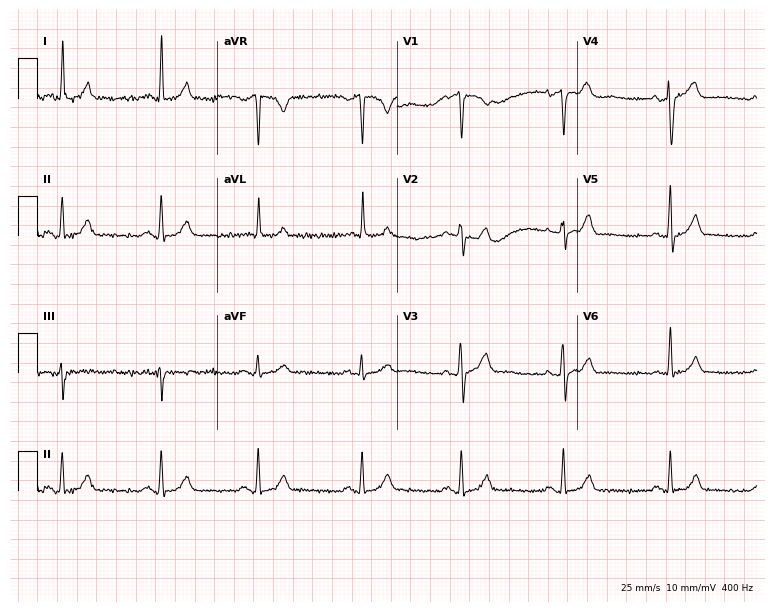
12-lead ECG from a 49-year-old woman. Recorded interpretation: within normal limits.